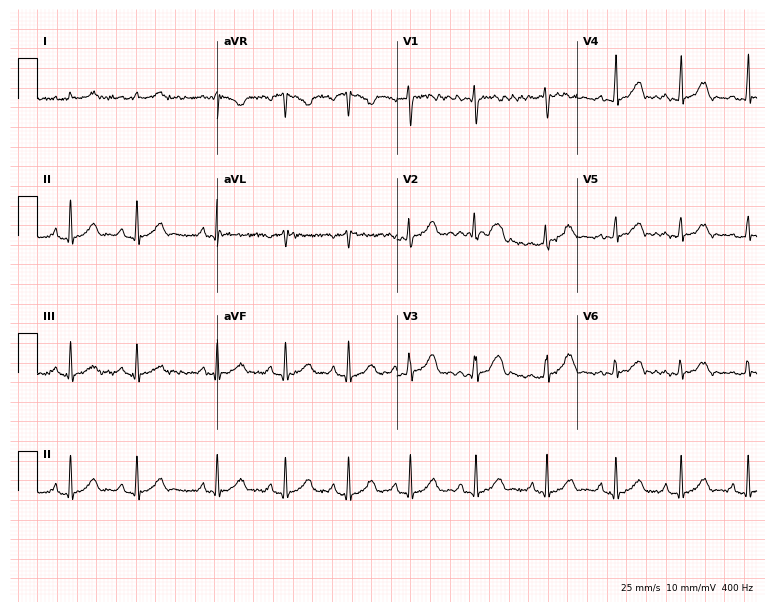
ECG (7.3-second recording at 400 Hz) — a 21-year-old female patient. Screened for six findings — first-degree AV block, right bundle branch block (RBBB), left bundle branch block (LBBB), sinus bradycardia, atrial fibrillation (AF), sinus tachycardia — none is recorded.